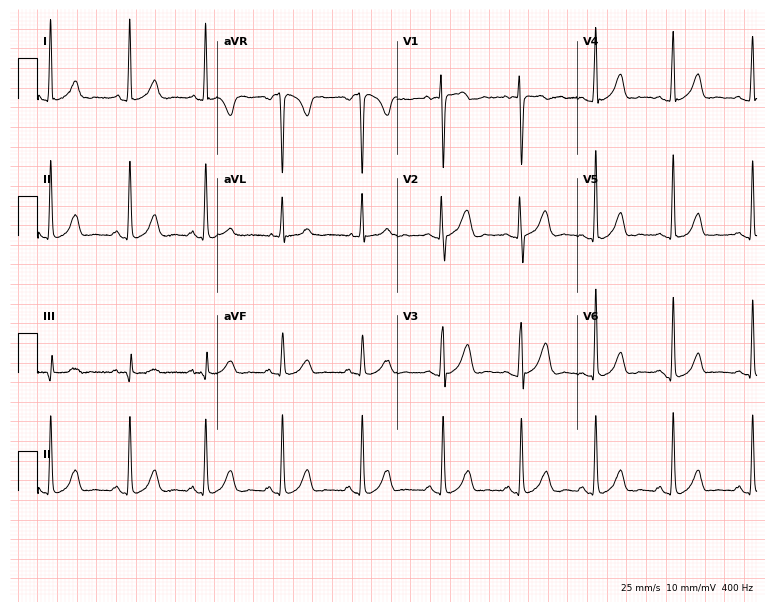
Resting 12-lead electrocardiogram (7.3-second recording at 400 Hz). Patient: a female, 32 years old. Read as a normal ECG.